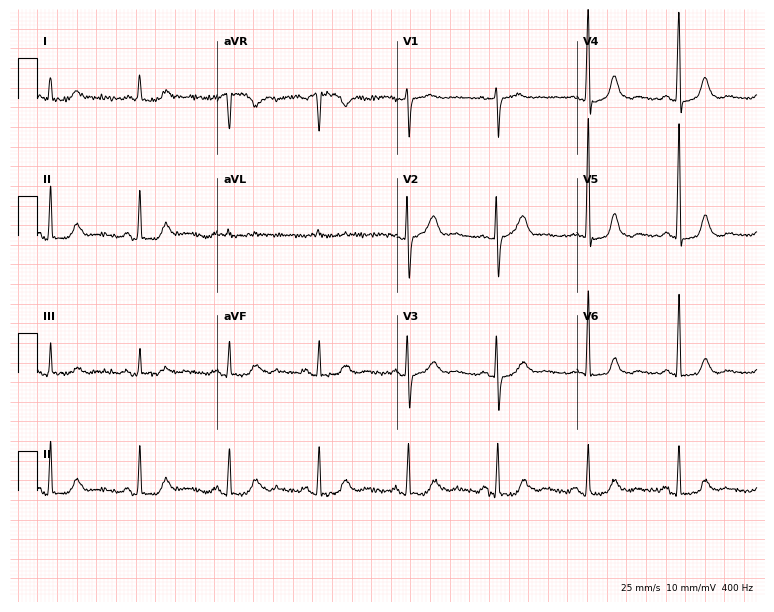
12-lead ECG (7.3-second recording at 400 Hz) from a female, 65 years old. Screened for six findings — first-degree AV block, right bundle branch block (RBBB), left bundle branch block (LBBB), sinus bradycardia, atrial fibrillation (AF), sinus tachycardia — none is recorded. Findings outside these six are not listed.